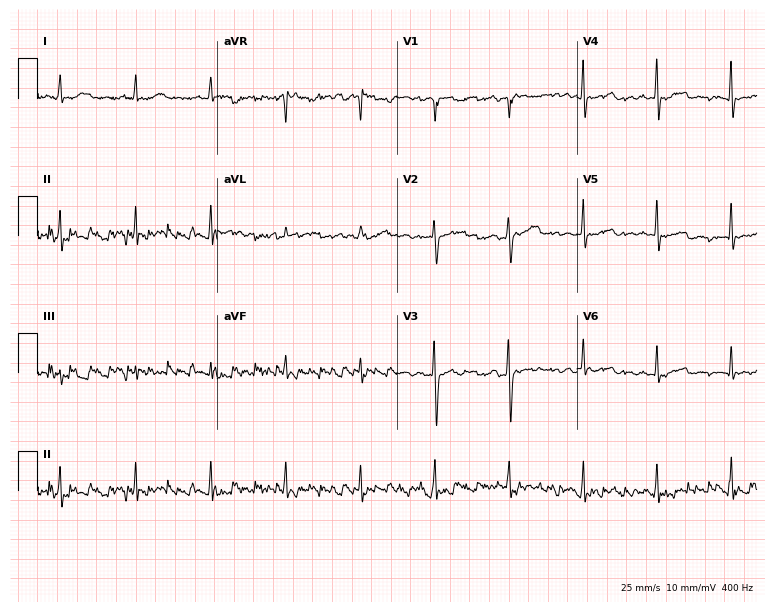
ECG — a 63-year-old female. Labelled as a normal ECG.